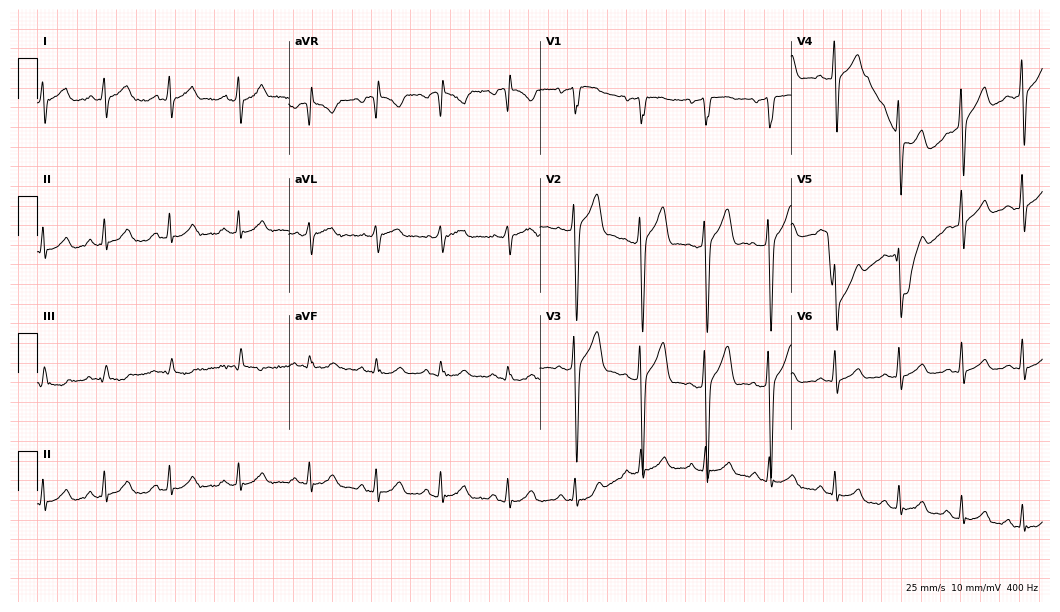
12-lead ECG (10.2-second recording at 400 Hz) from a 41-year-old man. Labelled as a normal ECG.